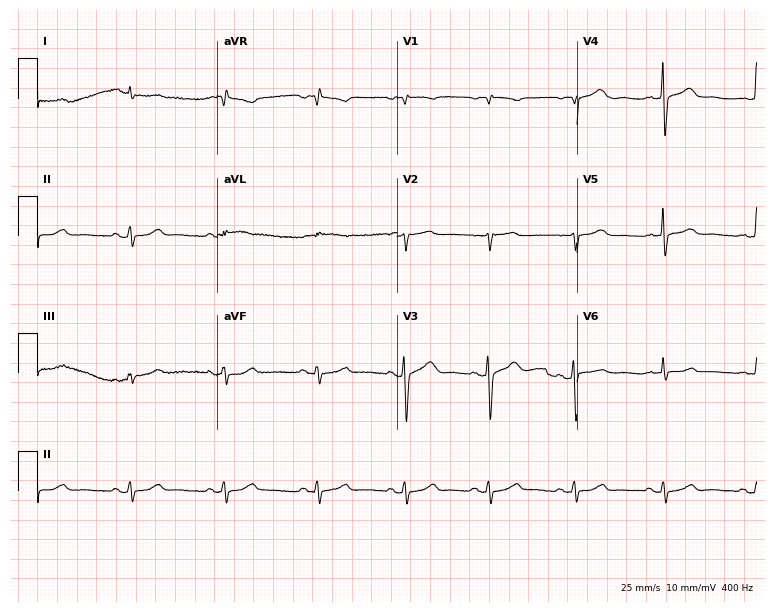
12-lead ECG from a male, 73 years old. Labelled as a normal ECG.